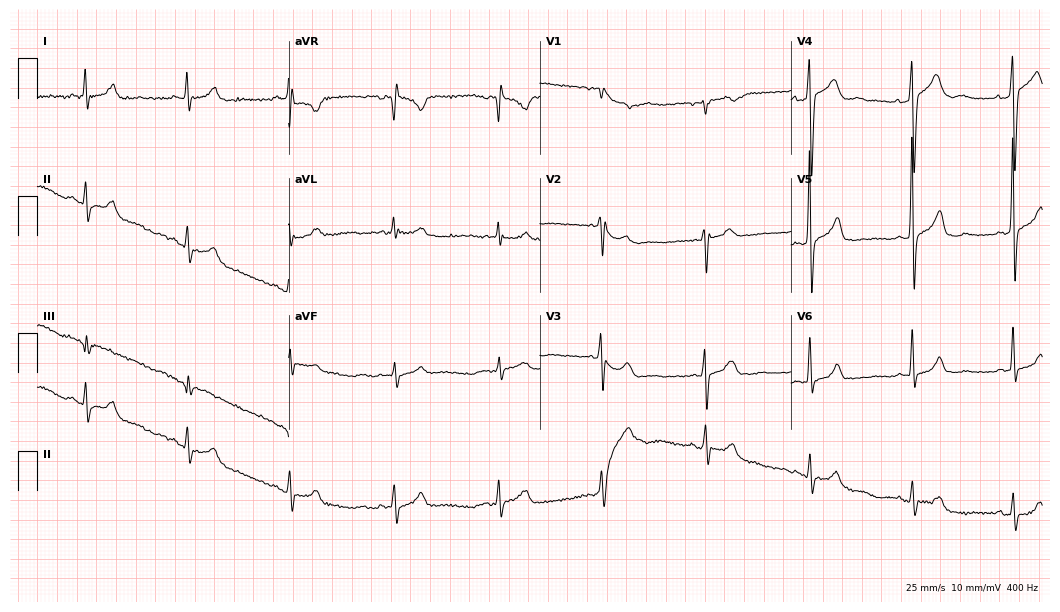
ECG (10.2-second recording at 400 Hz) — a 69-year-old male. Screened for six findings — first-degree AV block, right bundle branch block (RBBB), left bundle branch block (LBBB), sinus bradycardia, atrial fibrillation (AF), sinus tachycardia — none is recorded. Other findings, if any, are not listed.